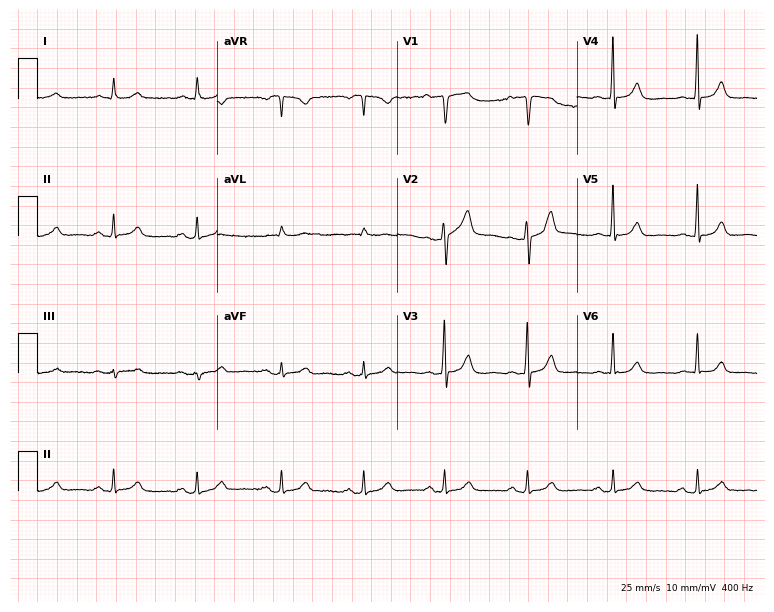
12-lead ECG (7.3-second recording at 400 Hz) from a male, 67 years old. Screened for six findings — first-degree AV block, right bundle branch block, left bundle branch block, sinus bradycardia, atrial fibrillation, sinus tachycardia — none is recorded.